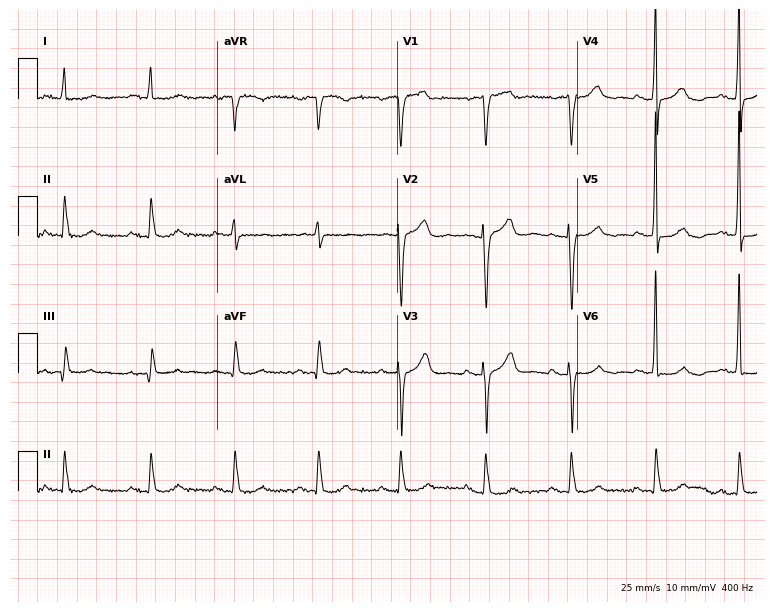
Resting 12-lead electrocardiogram (7.3-second recording at 400 Hz). Patient: a 75-year-old man. None of these six findings is recorded: first-degree AV block, right bundle branch block (RBBB), left bundle branch block (LBBB), sinus bradycardia, atrial fibrillation (AF), sinus tachycardia.